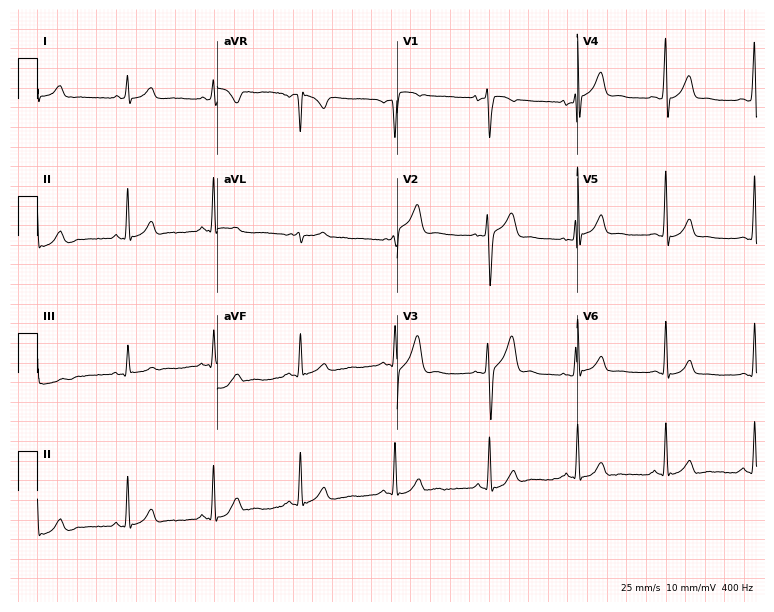
Electrocardiogram, a 22-year-old male patient. Of the six screened findings (first-degree AV block, right bundle branch block, left bundle branch block, sinus bradycardia, atrial fibrillation, sinus tachycardia), none is recorded.